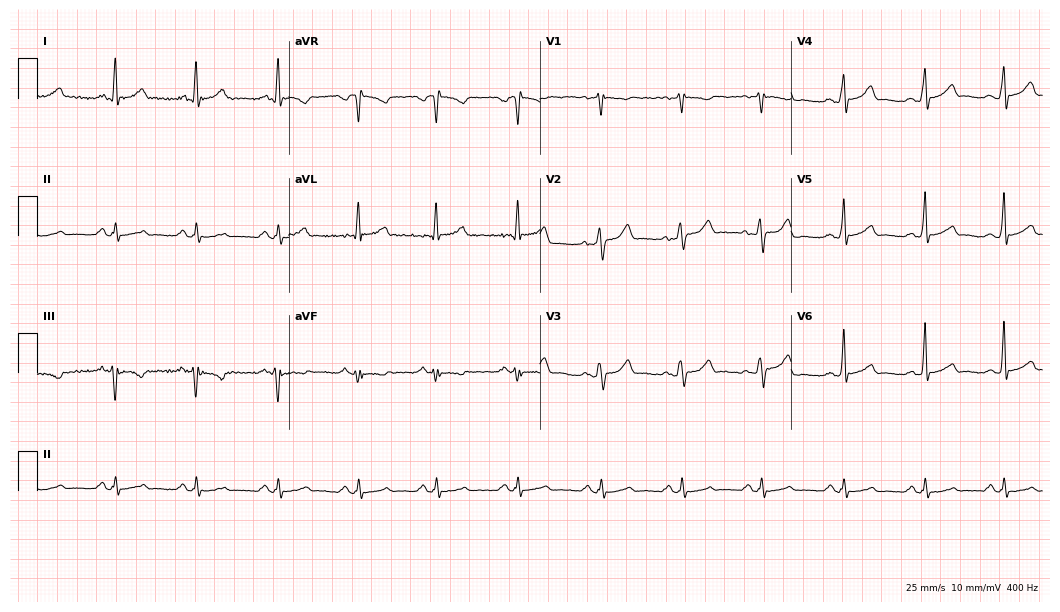
Resting 12-lead electrocardiogram. Patient: a 40-year-old male. Read as a normal ECG.